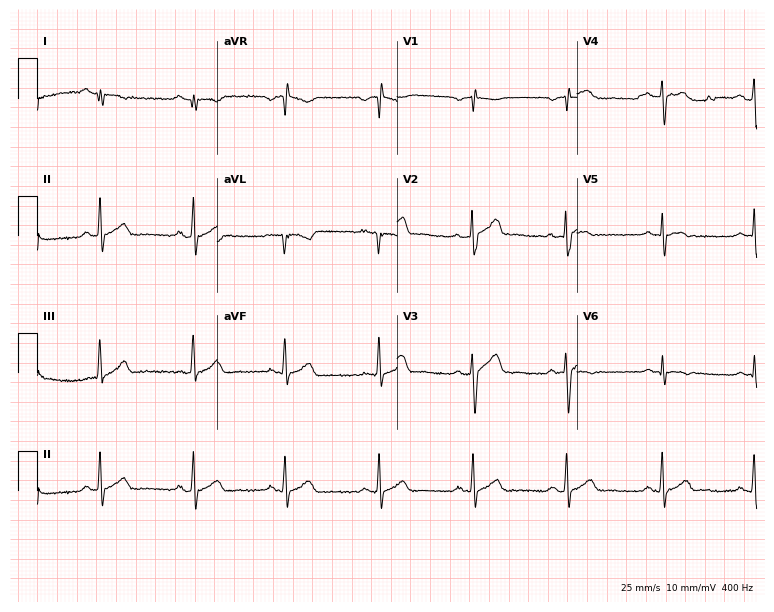
Standard 12-lead ECG recorded from a man, 39 years old (7.3-second recording at 400 Hz). None of these six findings is recorded: first-degree AV block, right bundle branch block, left bundle branch block, sinus bradycardia, atrial fibrillation, sinus tachycardia. Other findings, if any, are not listed.